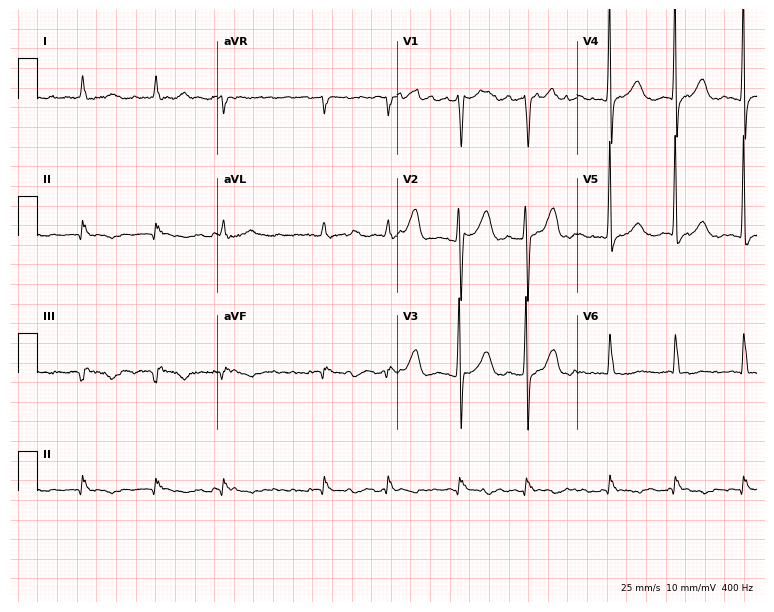
12-lead ECG from a 57-year-old man. Findings include atrial fibrillation (AF).